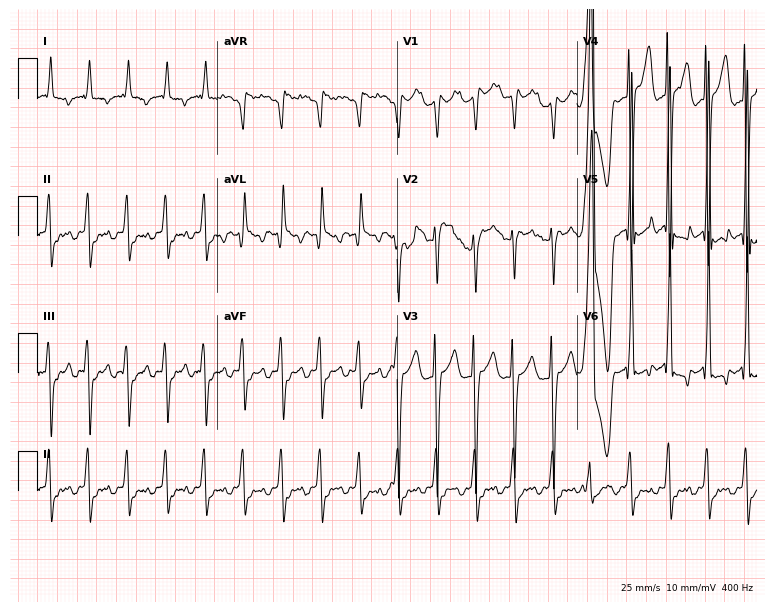
Electrocardiogram, a 46-year-old man. Of the six screened findings (first-degree AV block, right bundle branch block, left bundle branch block, sinus bradycardia, atrial fibrillation, sinus tachycardia), none is recorded. Other findings, if any, are not listed.